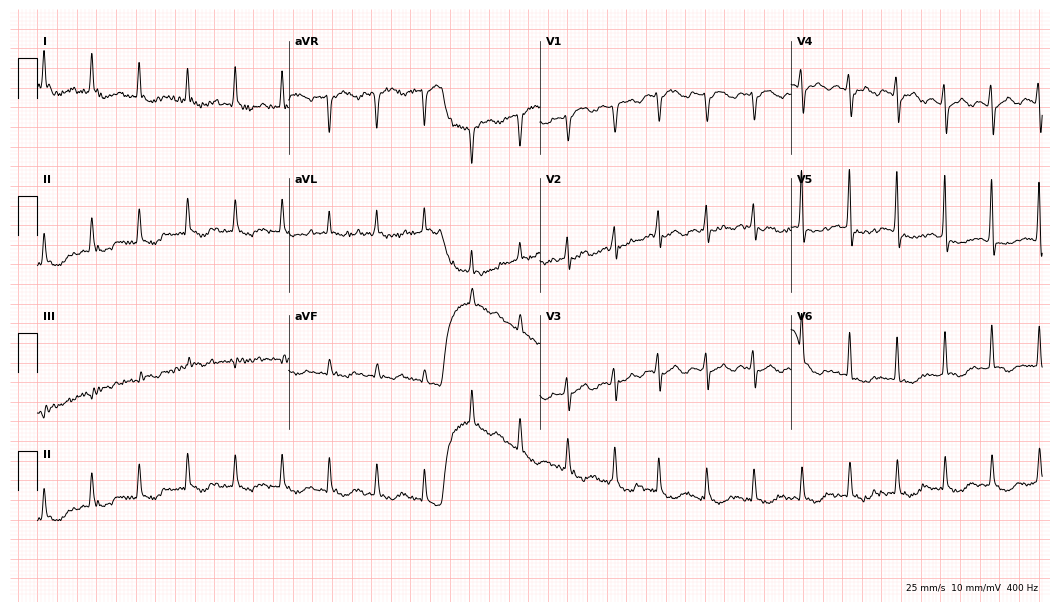
Standard 12-lead ECG recorded from a female, 80 years old. The tracing shows sinus tachycardia (a sinus rate of 100 beats per minute or more).